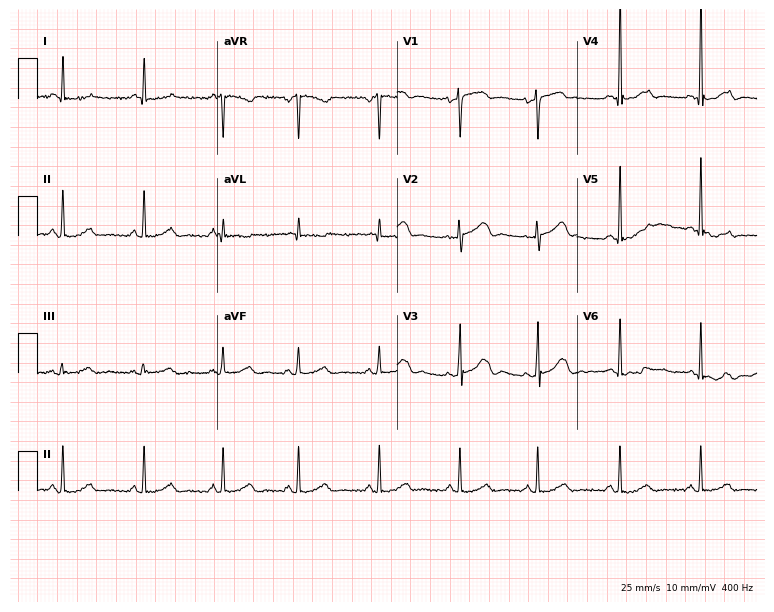
12-lead ECG (7.3-second recording at 400 Hz) from a female, 52 years old. Screened for six findings — first-degree AV block, right bundle branch block (RBBB), left bundle branch block (LBBB), sinus bradycardia, atrial fibrillation (AF), sinus tachycardia — none is recorded.